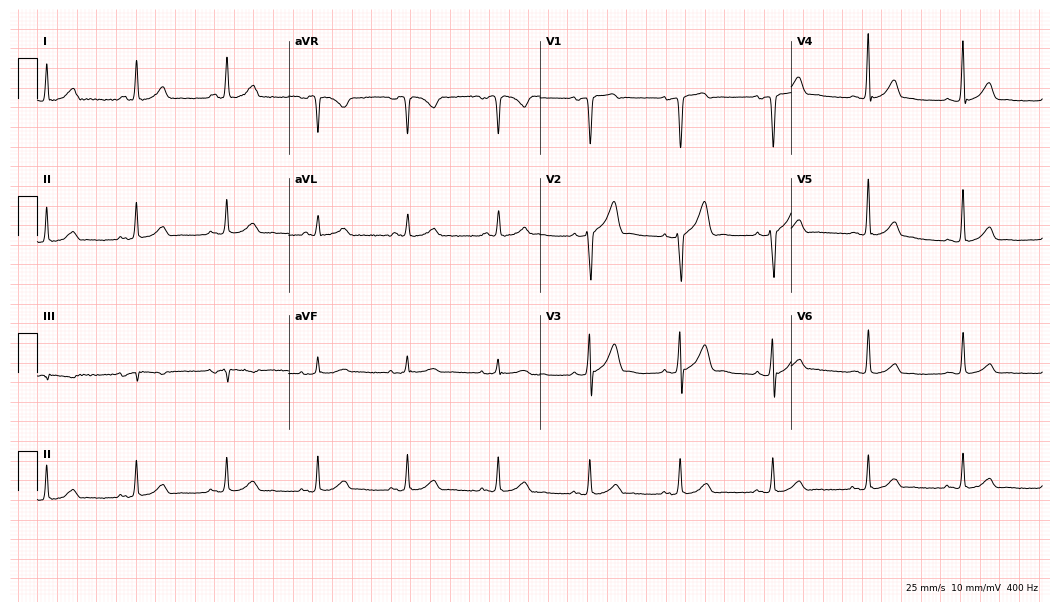
12-lead ECG from a 52-year-old man (10.2-second recording at 400 Hz). No first-degree AV block, right bundle branch block, left bundle branch block, sinus bradycardia, atrial fibrillation or sinus tachycardia recorded for this tracing.